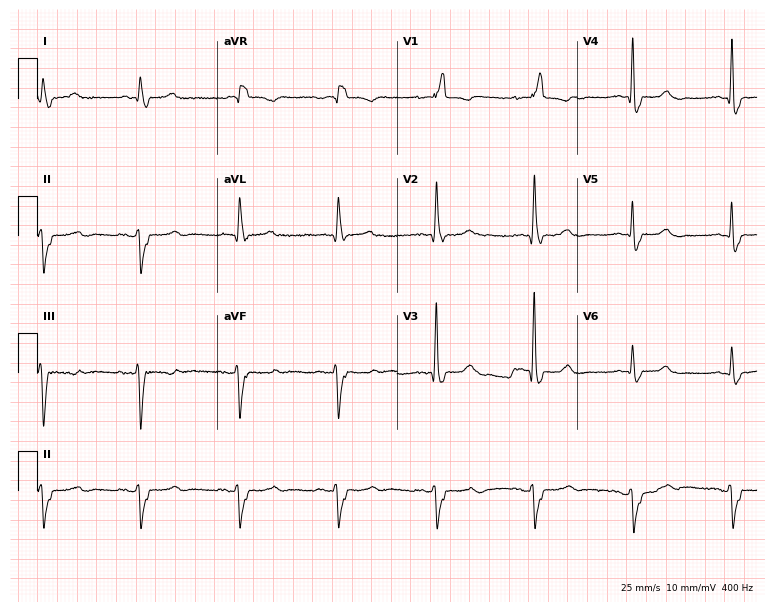
12-lead ECG from a 76-year-old female. Findings include right bundle branch block.